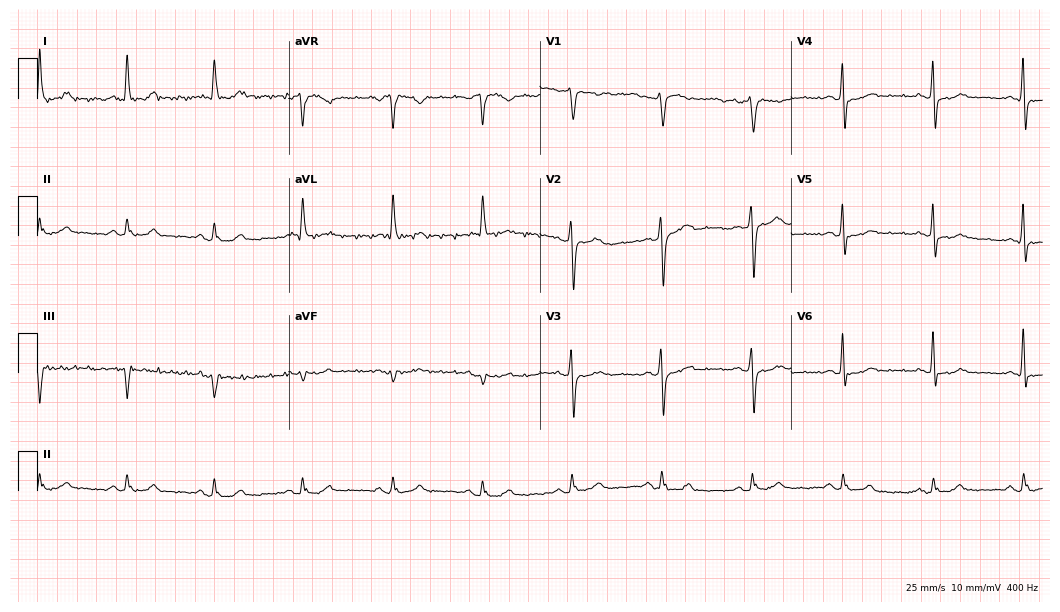
Standard 12-lead ECG recorded from a female, 65 years old. Read as a normal ECG.